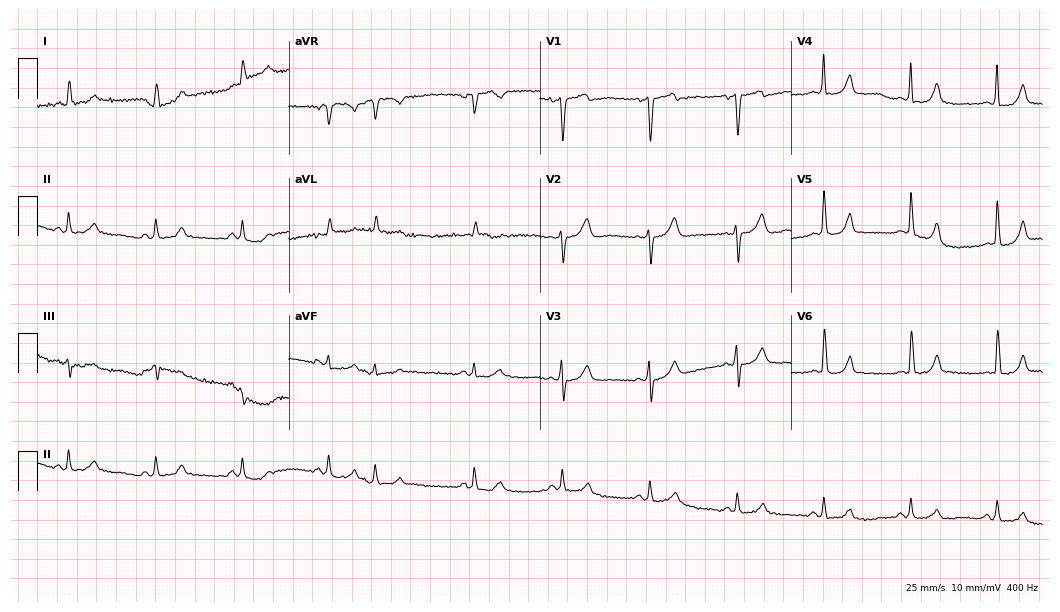
Resting 12-lead electrocardiogram (10.2-second recording at 400 Hz). Patient: a male, 79 years old. Read as a normal ECG.